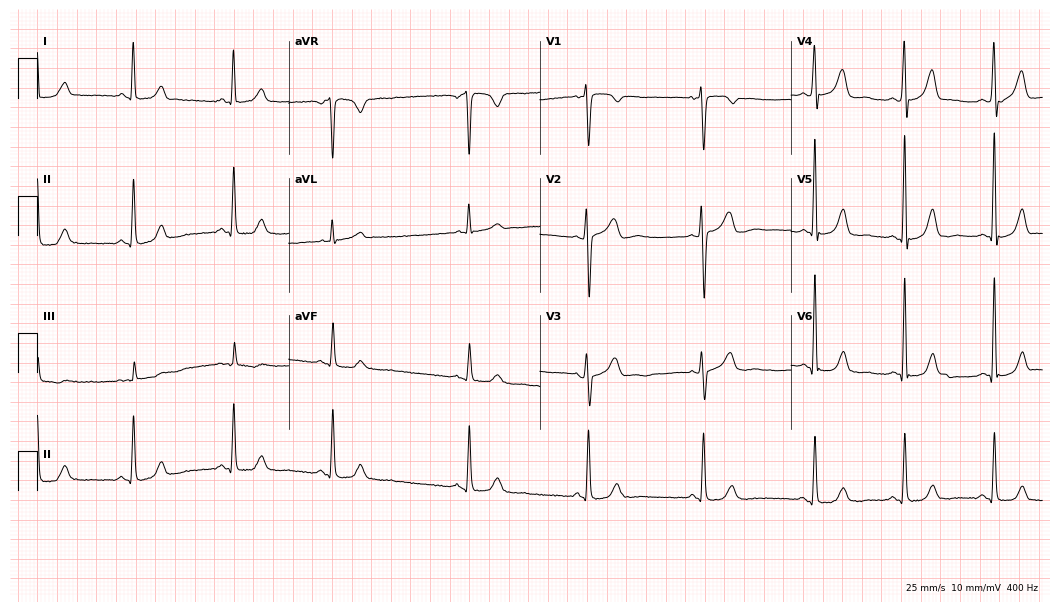
ECG (10.2-second recording at 400 Hz) — a female, 47 years old. Labelled as a normal ECG.